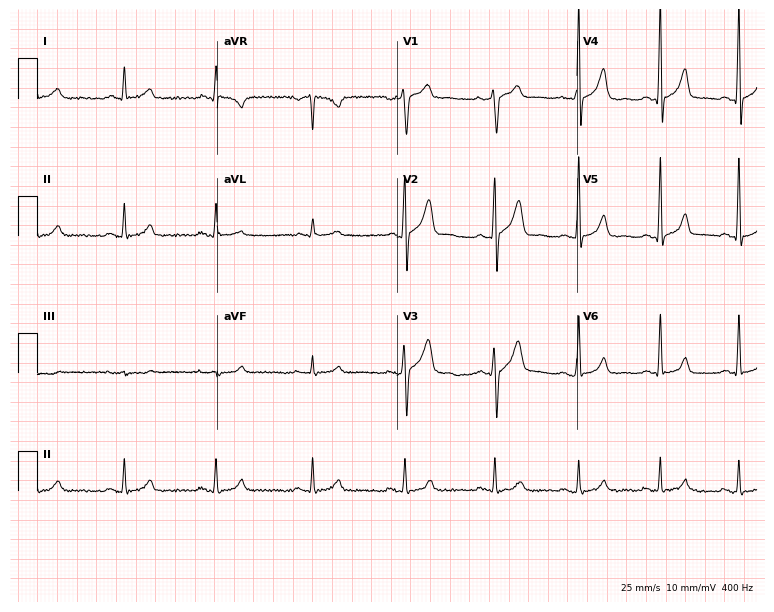
Resting 12-lead electrocardiogram (7.3-second recording at 400 Hz). Patient: a man, 34 years old. Read as a normal ECG.